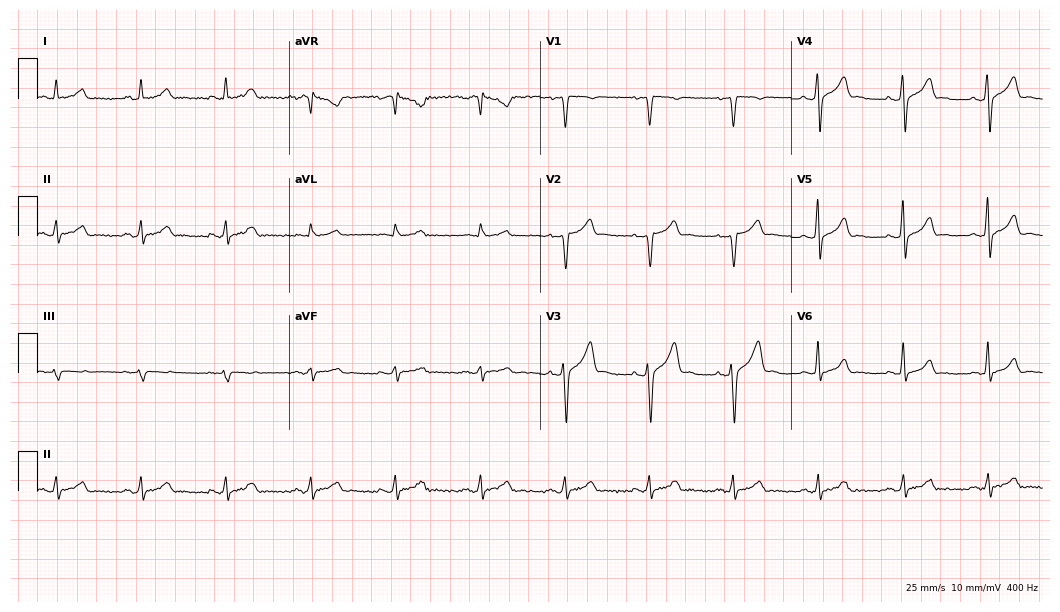
Standard 12-lead ECG recorded from a 45-year-old male patient (10.2-second recording at 400 Hz). None of these six findings is recorded: first-degree AV block, right bundle branch block, left bundle branch block, sinus bradycardia, atrial fibrillation, sinus tachycardia. Other findings, if any, are not listed.